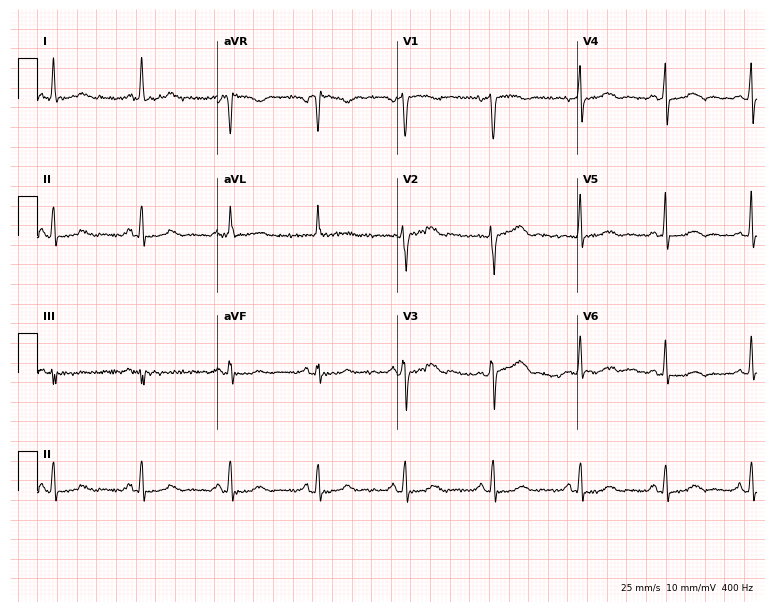
12-lead ECG from a 68-year-old woman (7.3-second recording at 400 Hz). Recorded interpretation: within normal limits.